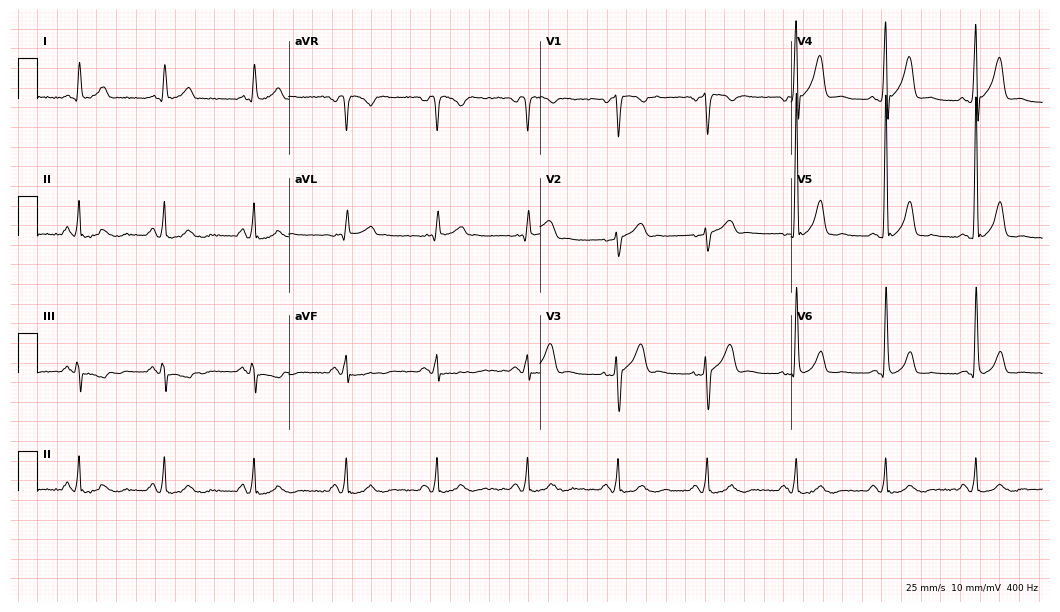
Electrocardiogram, a 55-year-old male patient. Of the six screened findings (first-degree AV block, right bundle branch block, left bundle branch block, sinus bradycardia, atrial fibrillation, sinus tachycardia), none is recorded. Only these six findings were labelled.